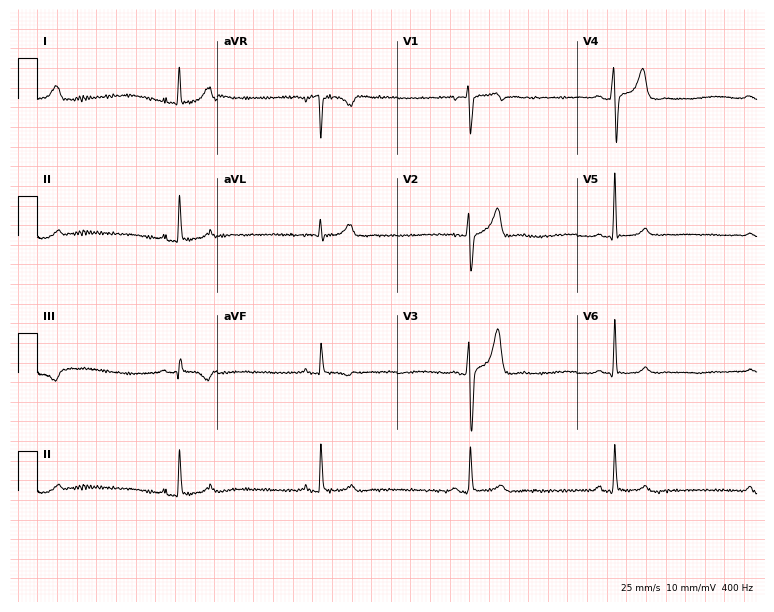
12-lead ECG from a 35-year-old male patient. Shows sinus bradycardia (a sinus rate of 50 beats per minute or less).